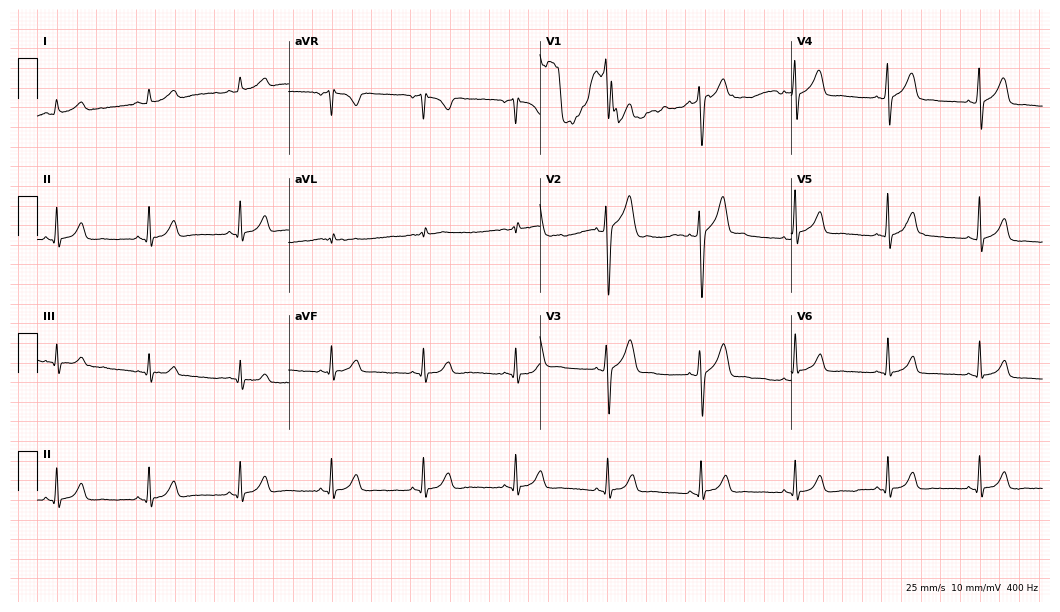
Standard 12-lead ECG recorded from a 42-year-old male patient (10.2-second recording at 400 Hz). None of these six findings is recorded: first-degree AV block, right bundle branch block (RBBB), left bundle branch block (LBBB), sinus bradycardia, atrial fibrillation (AF), sinus tachycardia.